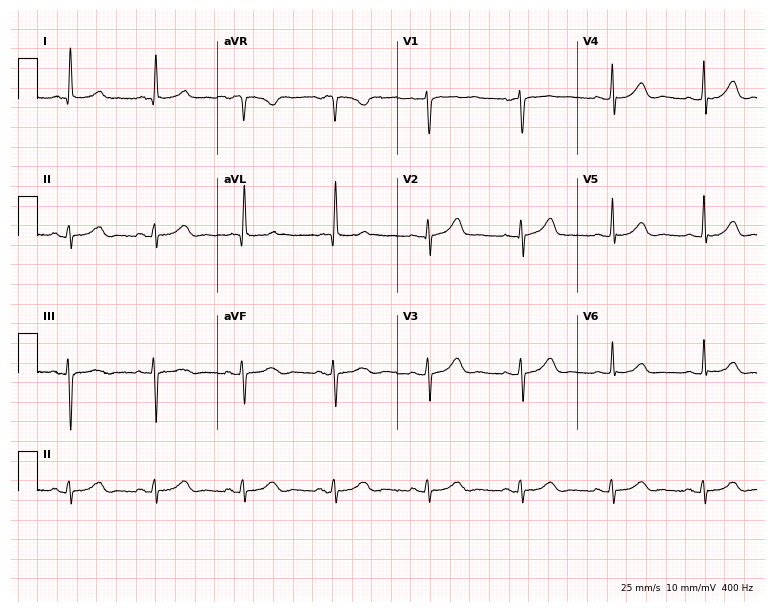
Standard 12-lead ECG recorded from a female patient, 71 years old. None of these six findings is recorded: first-degree AV block, right bundle branch block, left bundle branch block, sinus bradycardia, atrial fibrillation, sinus tachycardia.